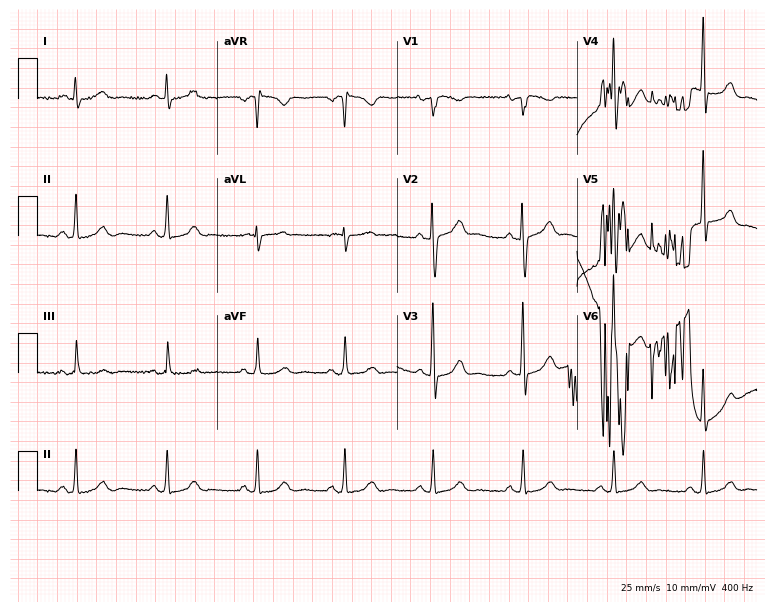
Standard 12-lead ECG recorded from a male, 63 years old (7.3-second recording at 400 Hz). None of these six findings is recorded: first-degree AV block, right bundle branch block (RBBB), left bundle branch block (LBBB), sinus bradycardia, atrial fibrillation (AF), sinus tachycardia.